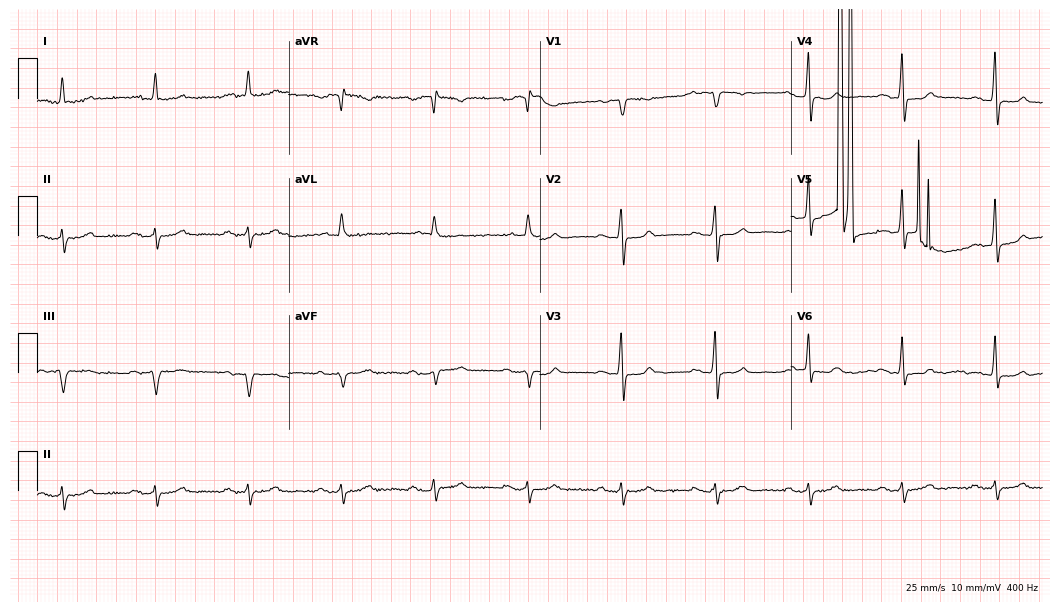
ECG — a male patient, 78 years old. Findings include first-degree AV block.